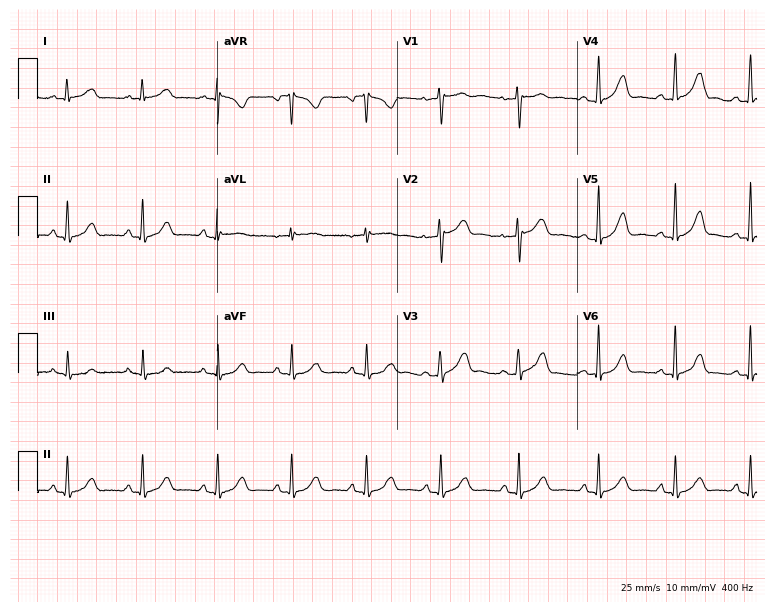
Standard 12-lead ECG recorded from a female, 45 years old. Read as a normal ECG.